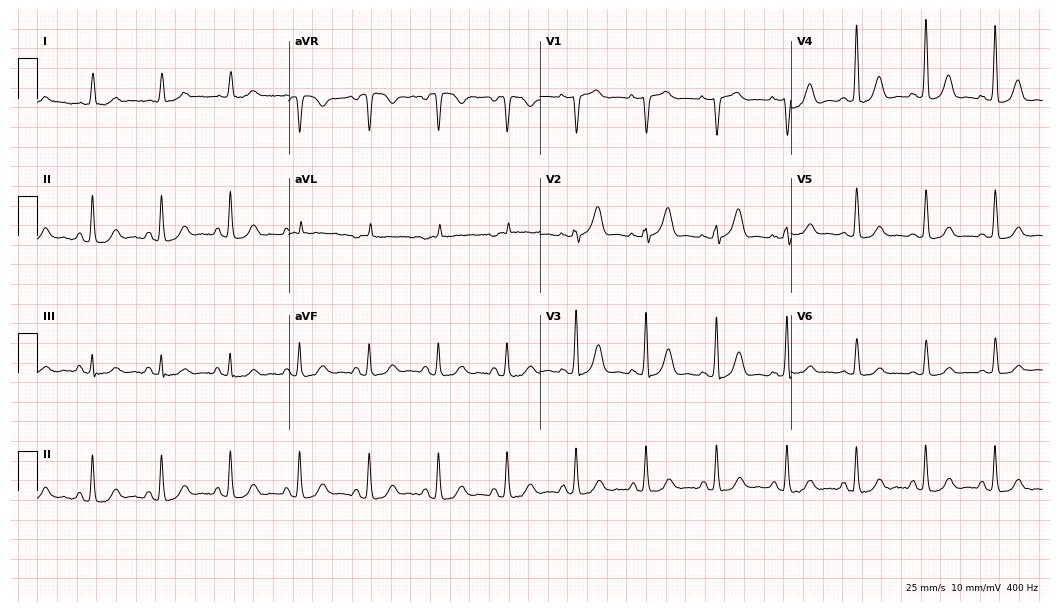
Electrocardiogram, a female, 75 years old. Overall reading on record: normal ECG.